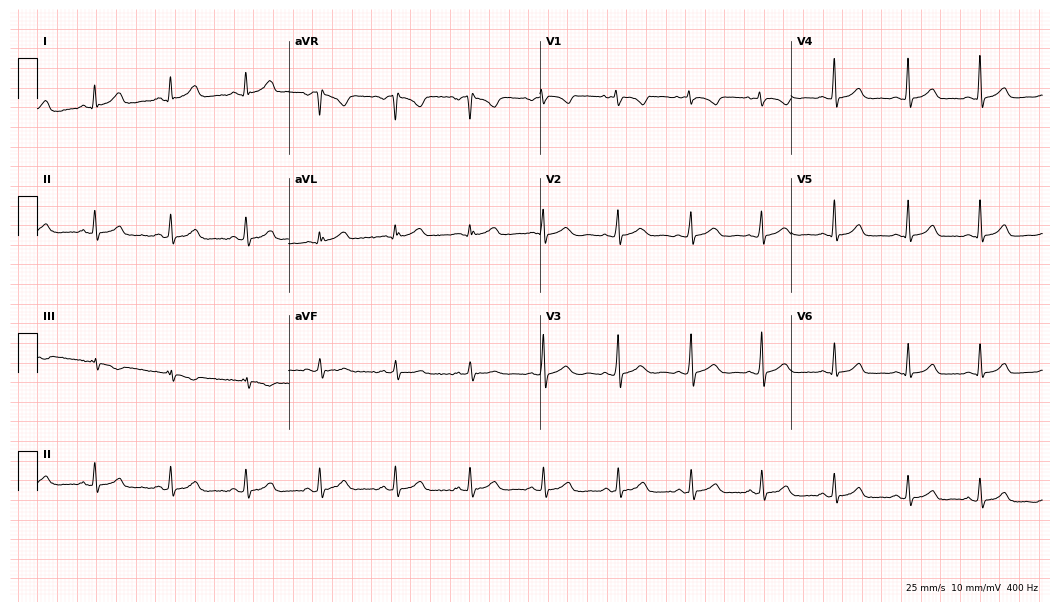
Electrocardiogram (10.2-second recording at 400 Hz), a female, 27 years old. Overall reading on record: normal ECG.